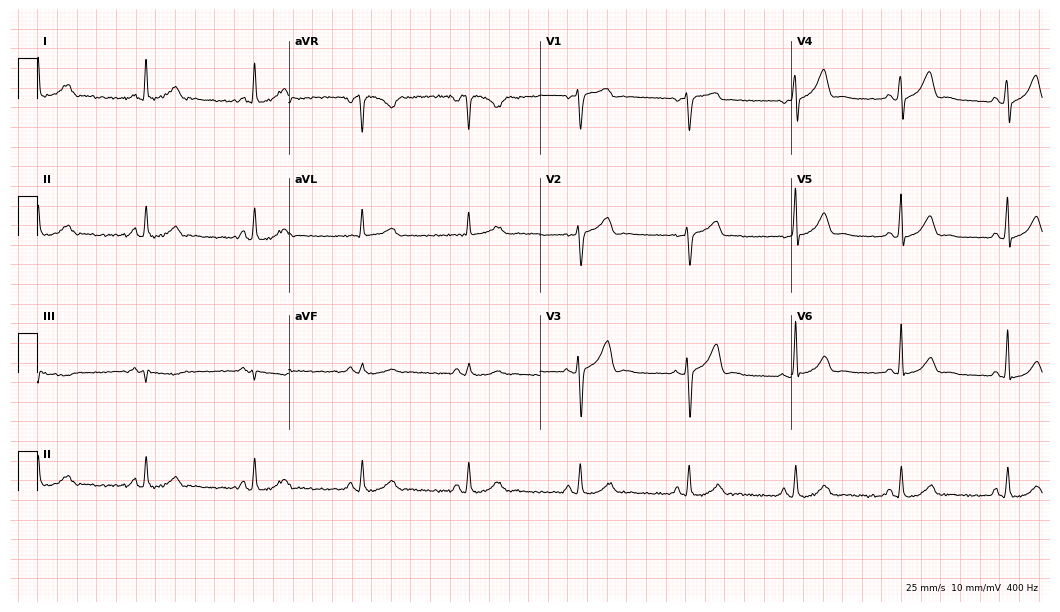
12-lead ECG from a male patient, 50 years old. Labelled as a normal ECG.